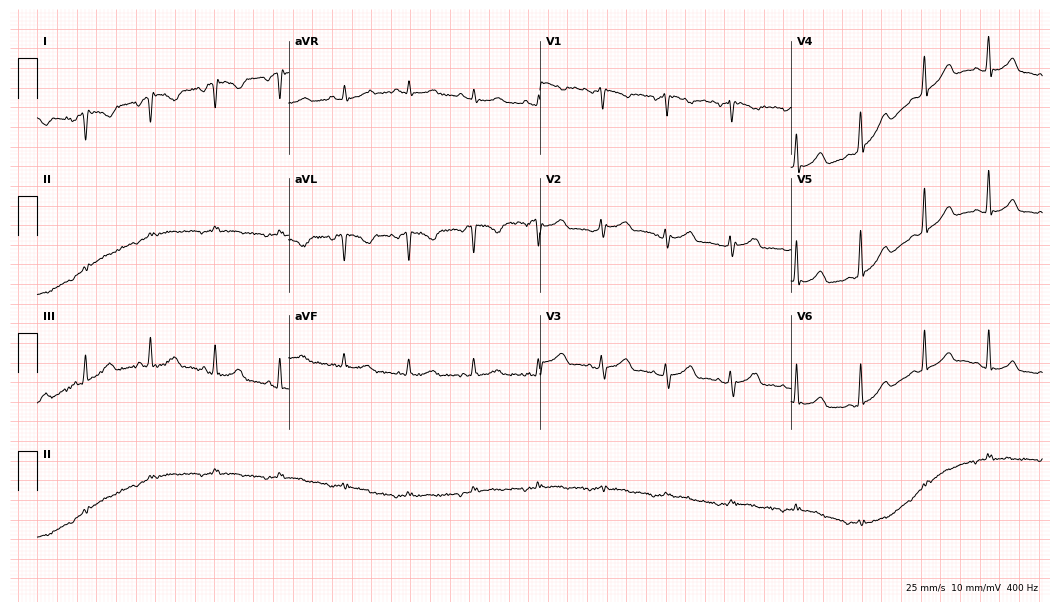
Resting 12-lead electrocardiogram. Patient: a 60-year-old woman. None of these six findings is recorded: first-degree AV block, right bundle branch block, left bundle branch block, sinus bradycardia, atrial fibrillation, sinus tachycardia. Only these six findings were labelled.